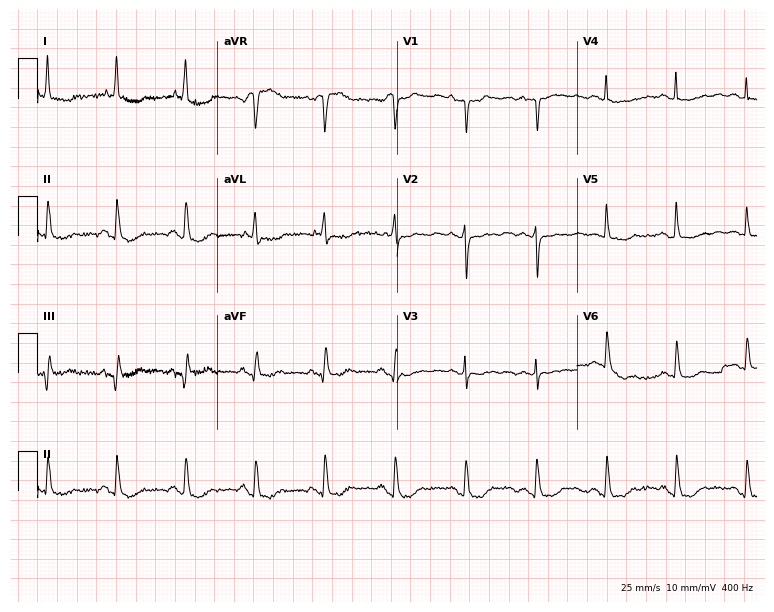
Resting 12-lead electrocardiogram (7.3-second recording at 400 Hz). Patient: an 80-year-old female. None of these six findings is recorded: first-degree AV block, right bundle branch block, left bundle branch block, sinus bradycardia, atrial fibrillation, sinus tachycardia. Other findings, if any, are not listed.